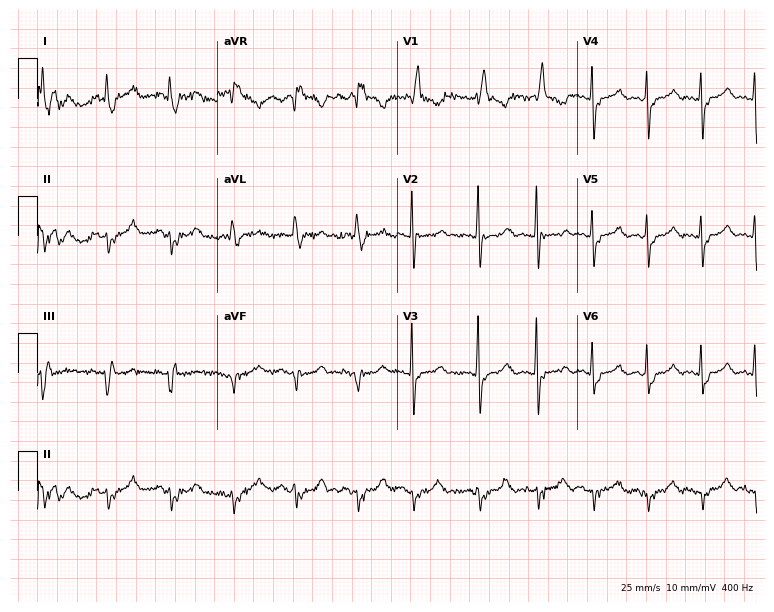
ECG (7.3-second recording at 400 Hz) — an 82-year-old woman. Screened for six findings — first-degree AV block, right bundle branch block (RBBB), left bundle branch block (LBBB), sinus bradycardia, atrial fibrillation (AF), sinus tachycardia — none is recorded. Only these six findings were labelled.